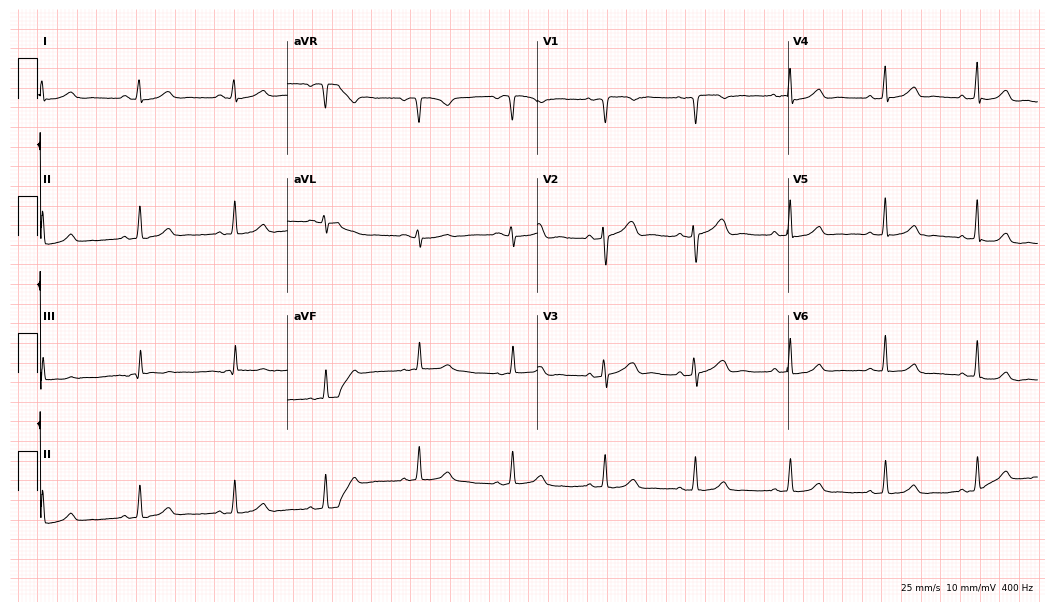
Standard 12-lead ECG recorded from a woman, 41 years old (10.2-second recording at 400 Hz). Read as a normal ECG.